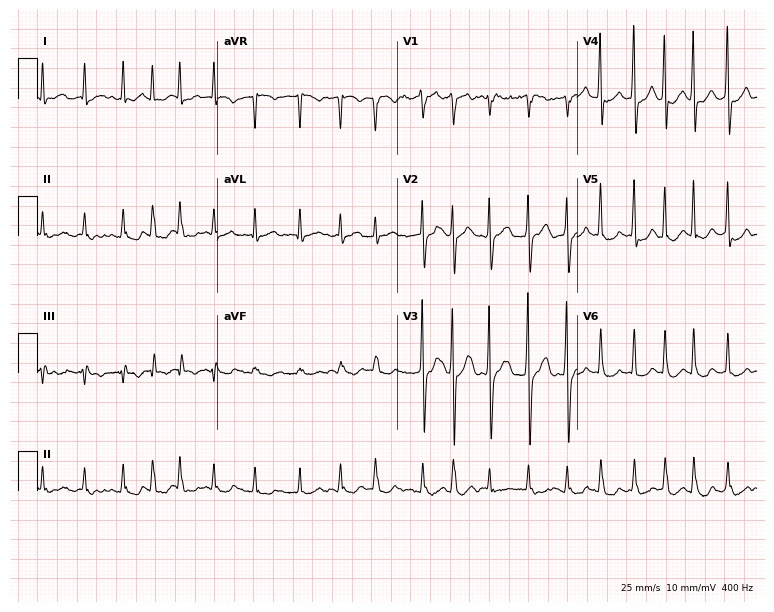
Electrocardiogram (7.3-second recording at 400 Hz), a man, 61 years old. Interpretation includes atrial fibrillation (AF).